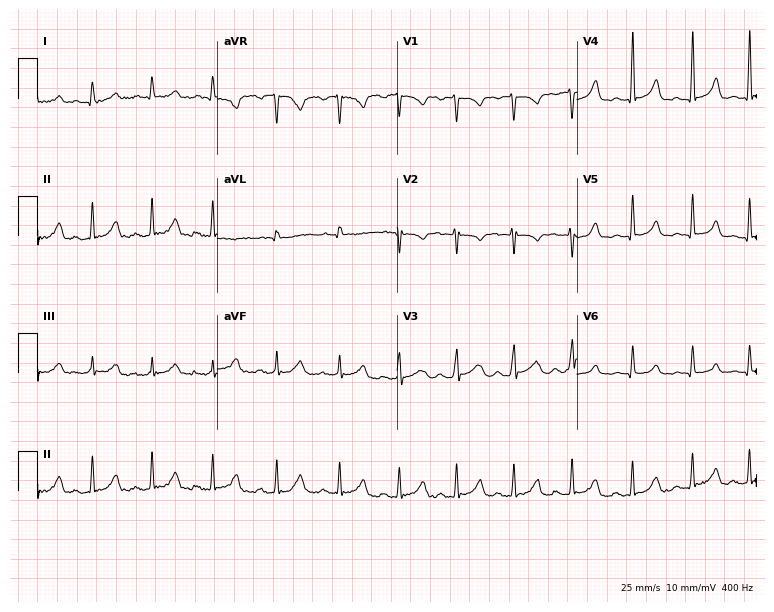
ECG — a 20-year-old female patient. Screened for six findings — first-degree AV block, right bundle branch block, left bundle branch block, sinus bradycardia, atrial fibrillation, sinus tachycardia — none is recorded. Findings outside these six are not listed.